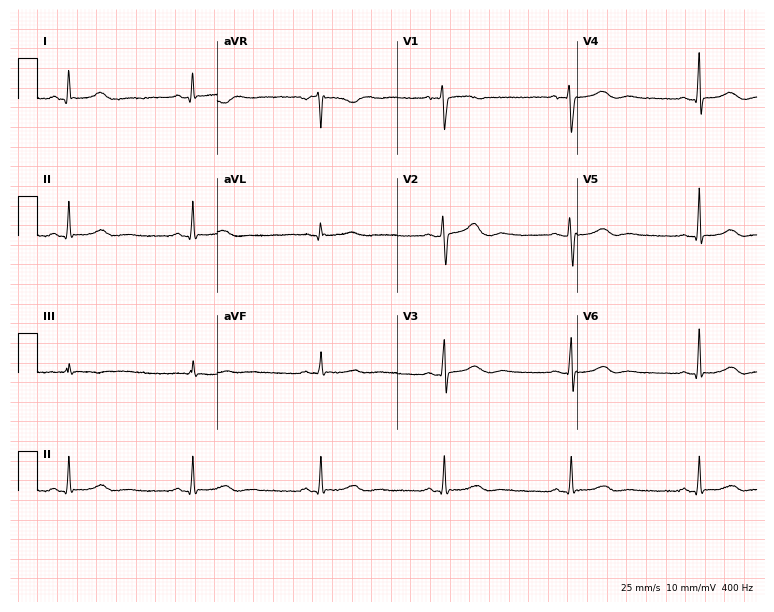
12-lead ECG from a 45-year-old man. No first-degree AV block, right bundle branch block (RBBB), left bundle branch block (LBBB), sinus bradycardia, atrial fibrillation (AF) or sinus tachycardia recorded for this tracing.